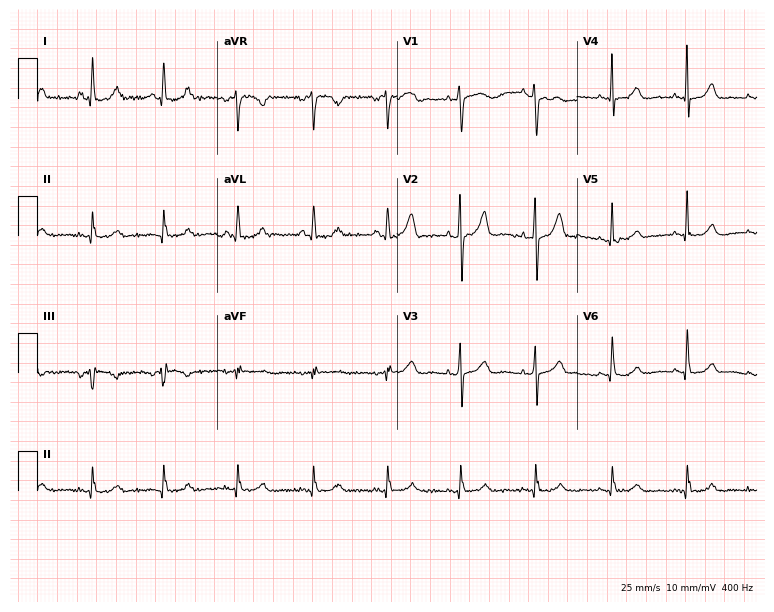
ECG — a 72-year-old female. Screened for six findings — first-degree AV block, right bundle branch block, left bundle branch block, sinus bradycardia, atrial fibrillation, sinus tachycardia — none is recorded.